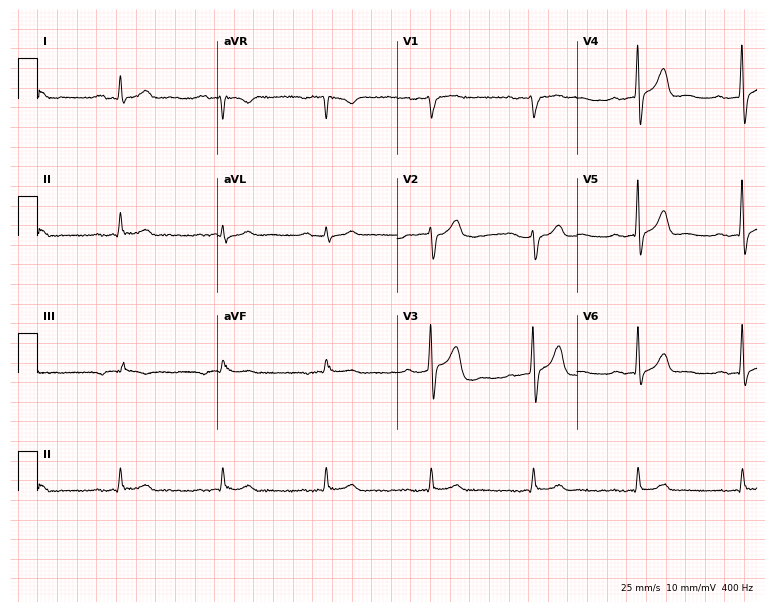
Standard 12-lead ECG recorded from a male patient, 70 years old (7.3-second recording at 400 Hz). Read as a normal ECG.